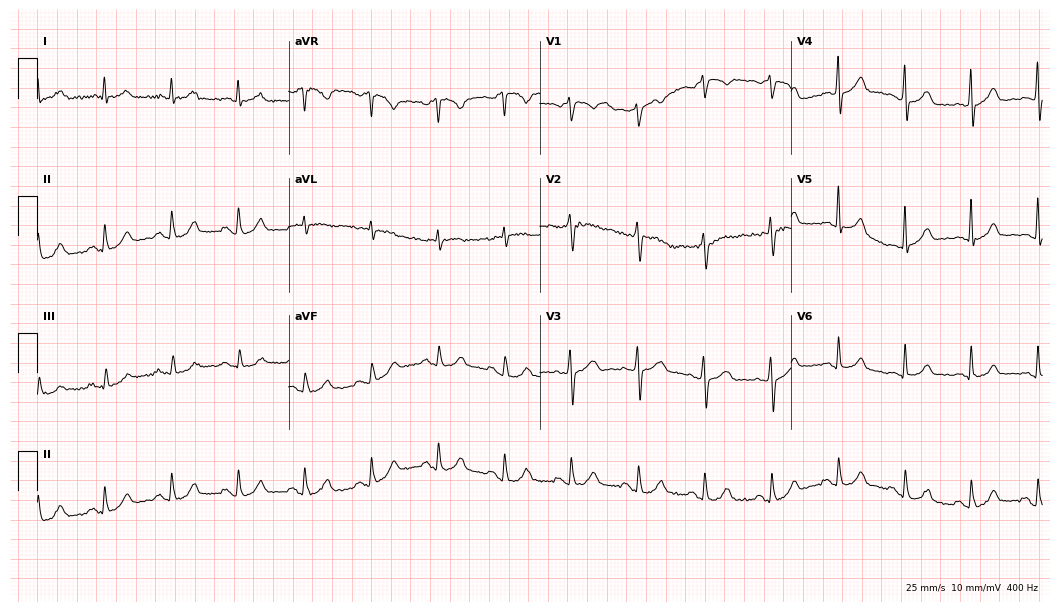
Standard 12-lead ECG recorded from a female patient, 70 years old (10.2-second recording at 400 Hz). Read as a normal ECG.